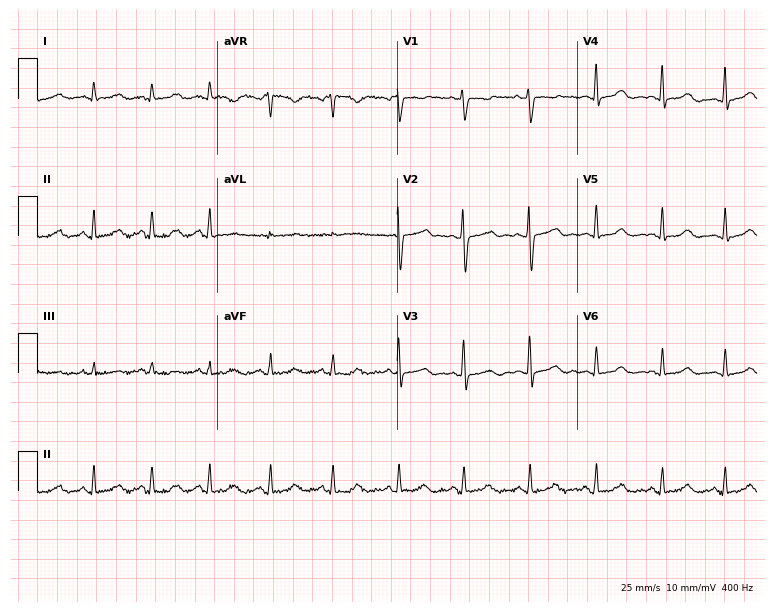
Resting 12-lead electrocardiogram (7.3-second recording at 400 Hz). Patient: a 36-year-old woman. None of these six findings is recorded: first-degree AV block, right bundle branch block, left bundle branch block, sinus bradycardia, atrial fibrillation, sinus tachycardia.